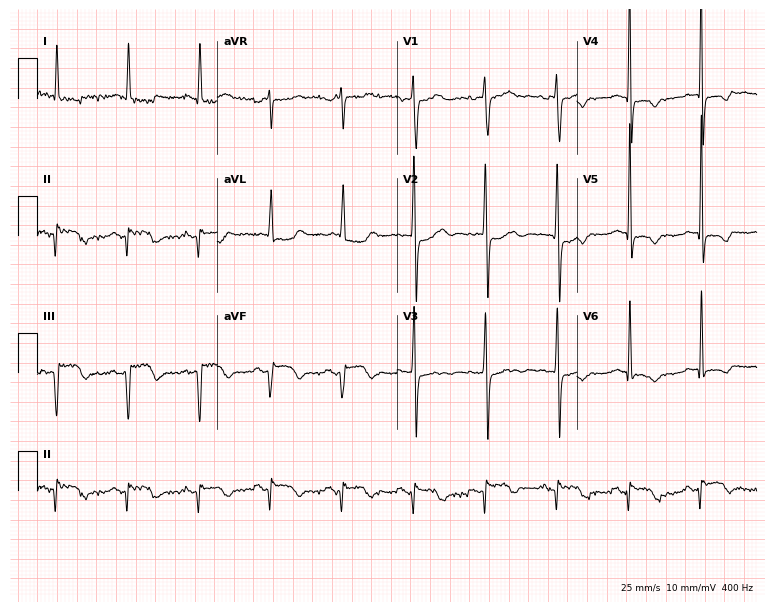
12-lead ECG from a female, 82 years old (7.3-second recording at 400 Hz). No first-degree AV block, right bundle branch block (RBBB), left bundle branch block (LBBB), sinus bradycardia, atrial fibrillation (AF) or sinus tachycardia recorded for this tracing.